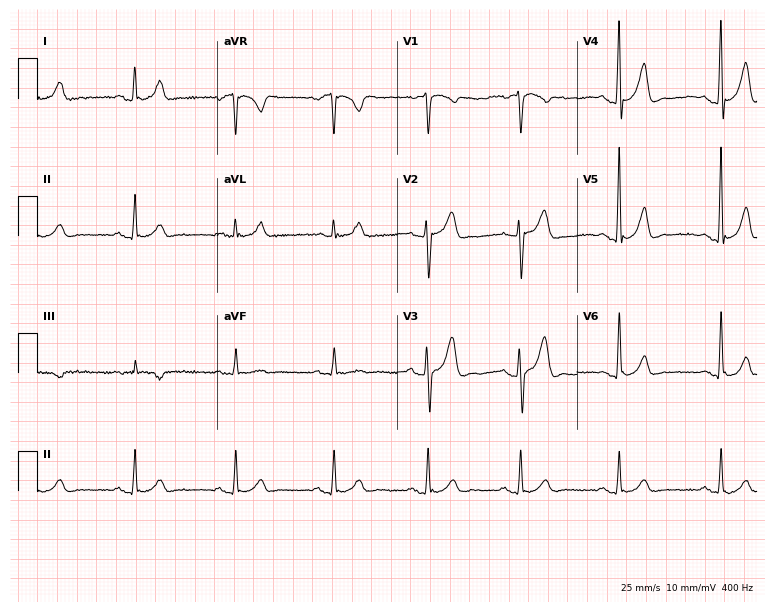
12-lead ECG (7.3-second recording at 400 Hz) from a 45-year-old male patient. Labelled as a normal ECG.